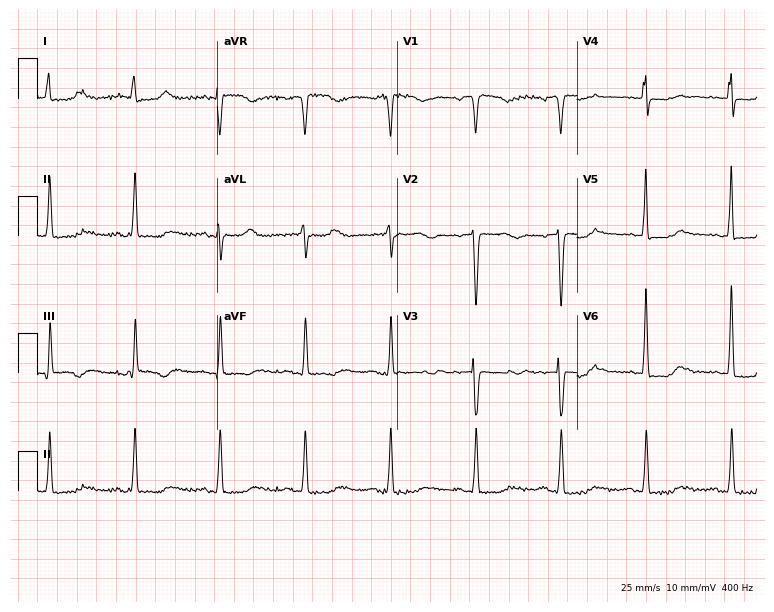
Resting 12-lead electrocardiogram (7.3-second recording at 400 Hz). Patient: a female, 85 years old. None of these six findings is recorded: first-degree AV block, right bundle branch block, left bundle branch block, sinus bradycardia, atrial fibrillation, sinus tachycardia. Only these six findings were labelled.